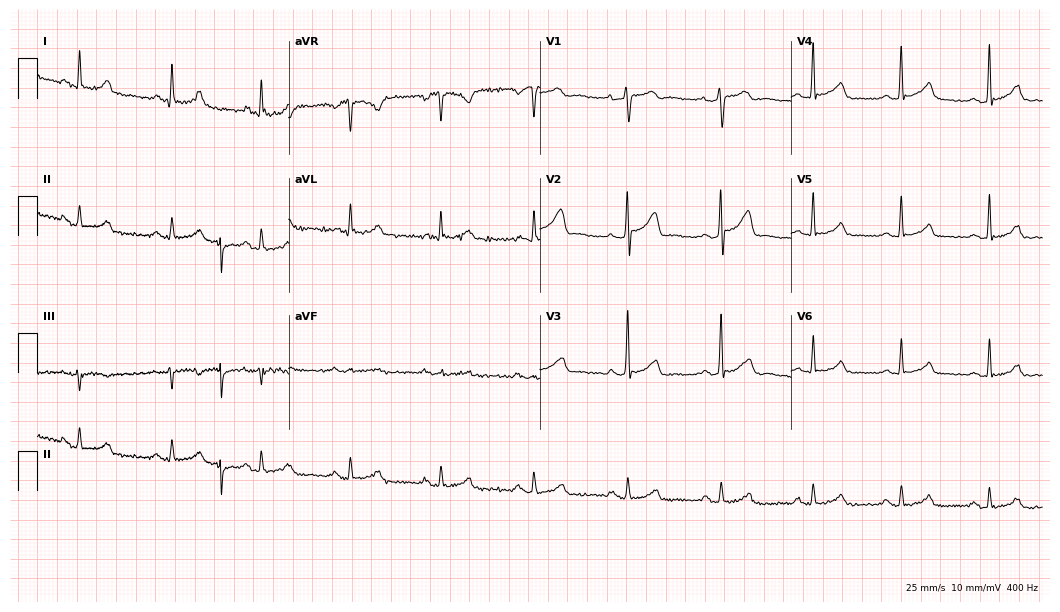
Standard 12-lead ECG recorded from a 35-year-old male (10.2-second recording at 400 Hz). Read as a normal ECG.